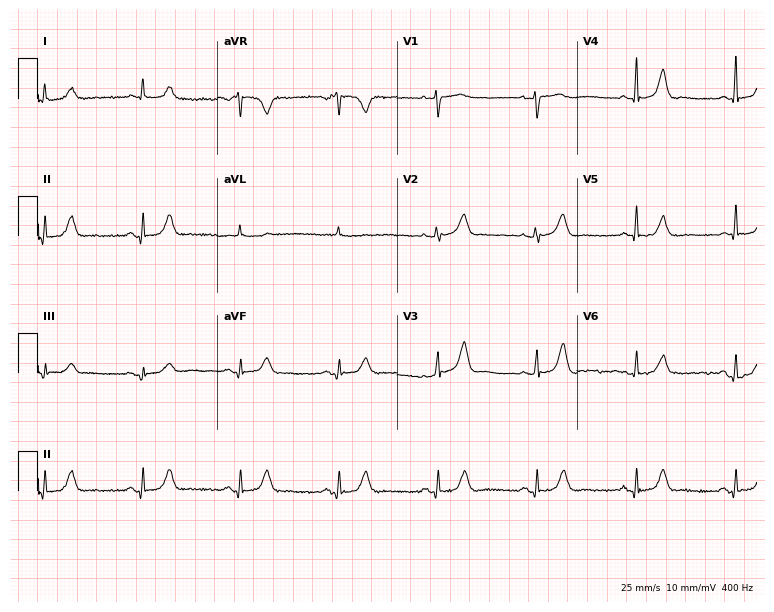
Standard 12-lead ECG recorded from a female, 64 years old. None of these six findings is recorded: first-degree AV block, right bundle branch block, left bundle branch block, sinus bradycardia, atrial fibrillation, sinus tachycardia.